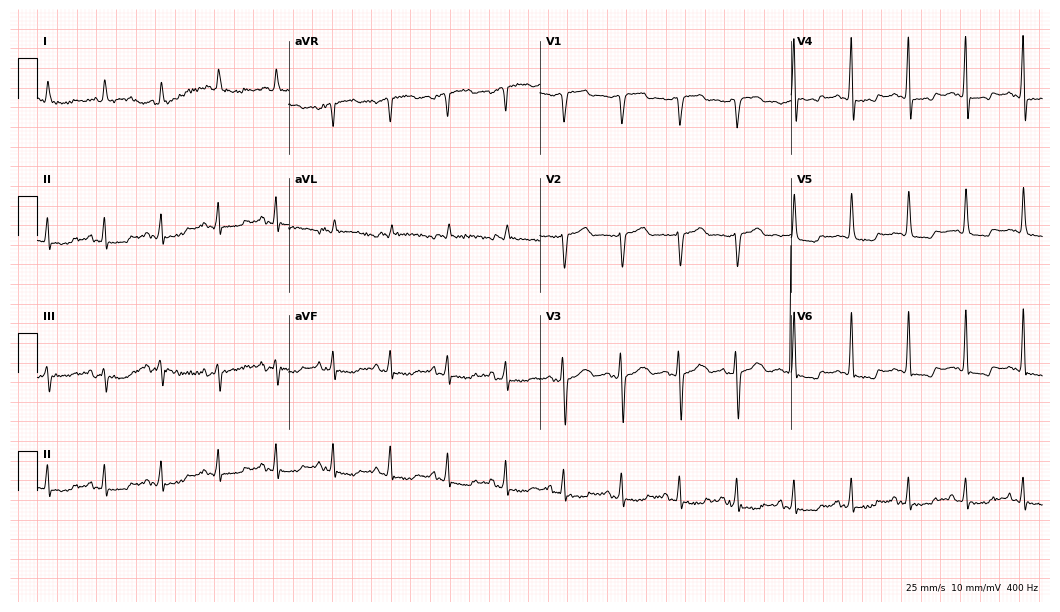
12-lead ECG (10.2-second recording at 400 Hz) from a male patient, 22 years old. Findings include sinus tachycardia (a sinus rate of 100 beats per minute or more).